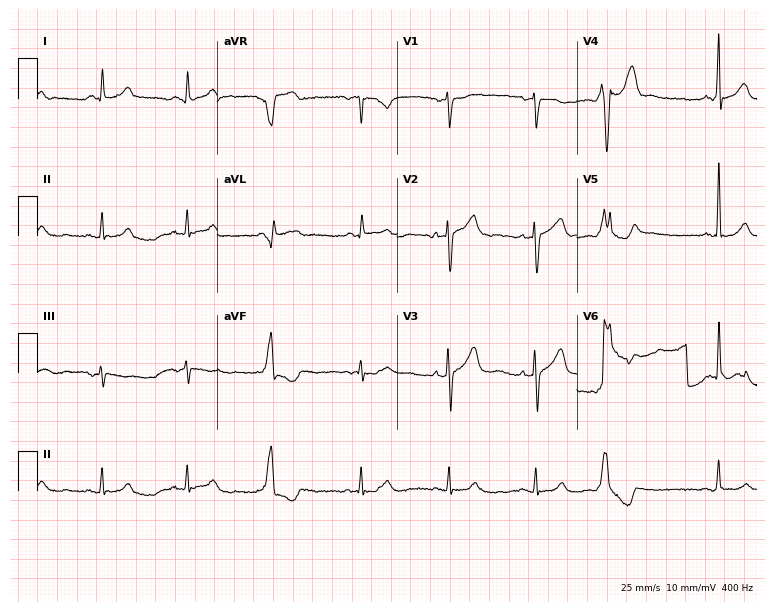
ECG (7.3-second recording at 400 Hz) — a 66-year-old male patient. Screened for six findings — first-degree AV block, right bundle branch block, left bundle branch block, sinus bradycardia, atrial fibrillation, sinus tachycardia — none is recorded. Findings outside these six are not listed.